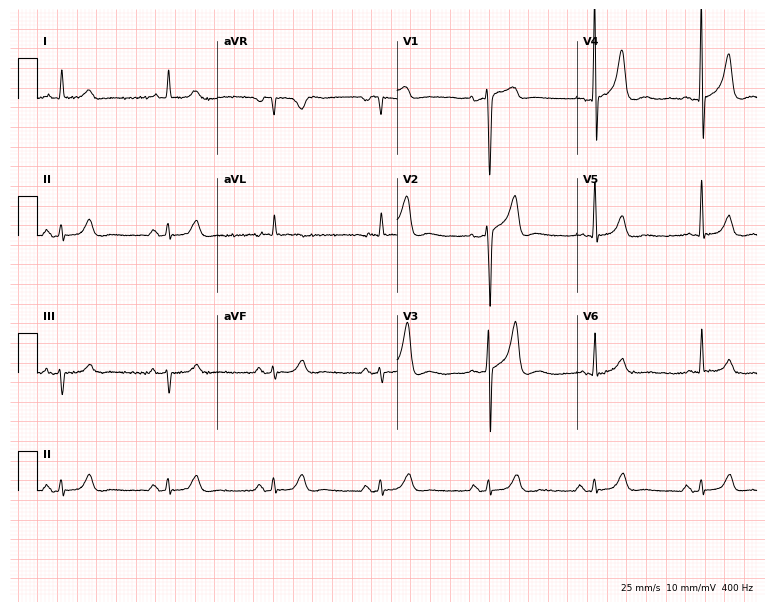
12-lead ECG from a 73-year-old male patient (7.3-second recording at 400 Hz). No first-degree AV block, right bundle branch block, left bundle branch block, sinus bradycardia, atrial fibrillation or sinus tachycardia recorded for this tracing.